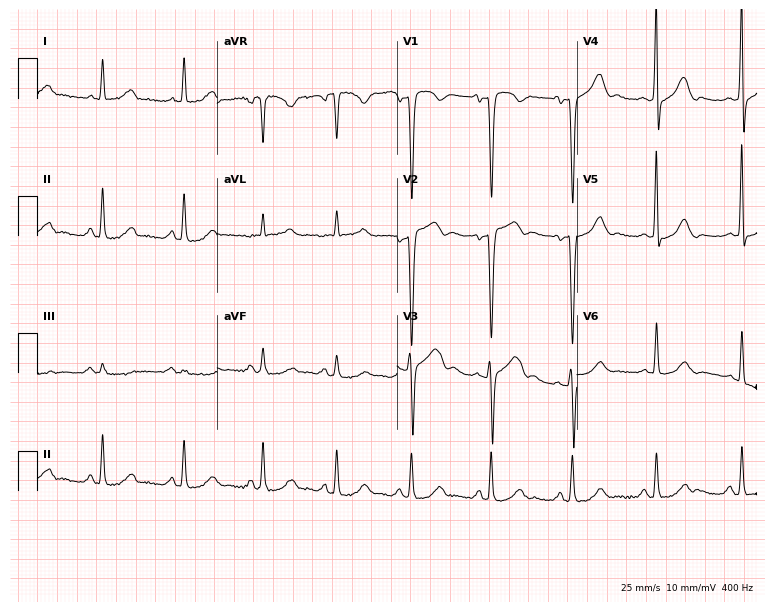
Standard 12-lead ECG recorded from a male patient, 51 years old. None of these six findings is recorded: first-degree AV block, right bundle branch block (RBBB), left bundle branch block (LBBB), sinus bradycardia, atrial fibrillation (AF), sinus tachycardia. Only these six findings were labelled.